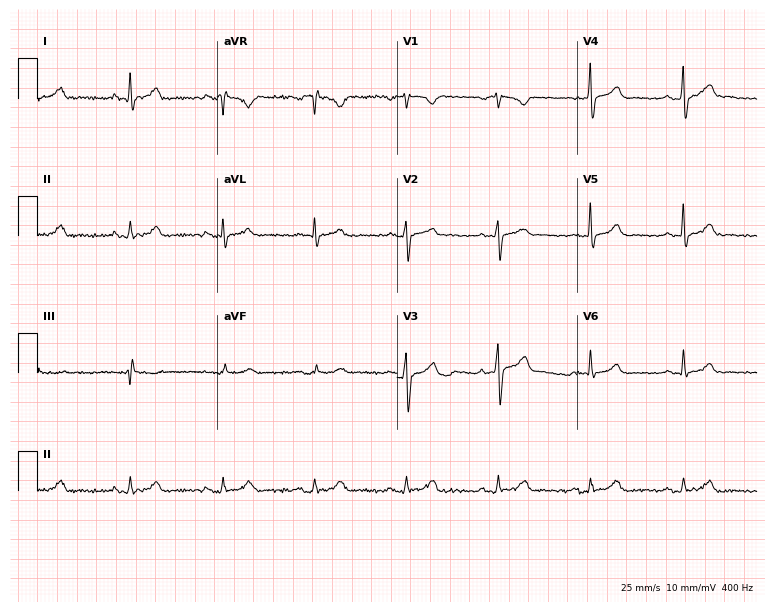
Standard 12-lead ECG recorded from a 41-year-old male patient (7.3-second recording at 400 Hz). Read as a normal ECG.